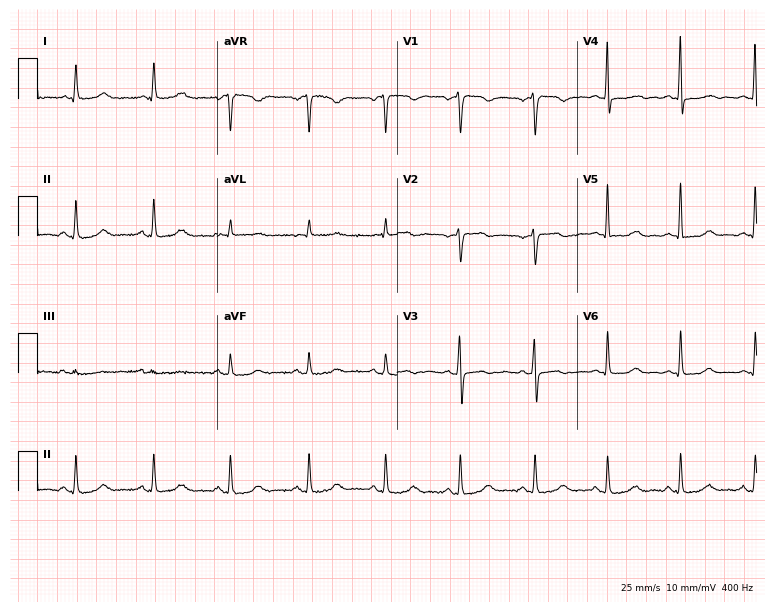
Standard 12-lead ECG recorded from a female, 46 years old (7.3-second recording at 400 Hz). Read as a normal ECG.